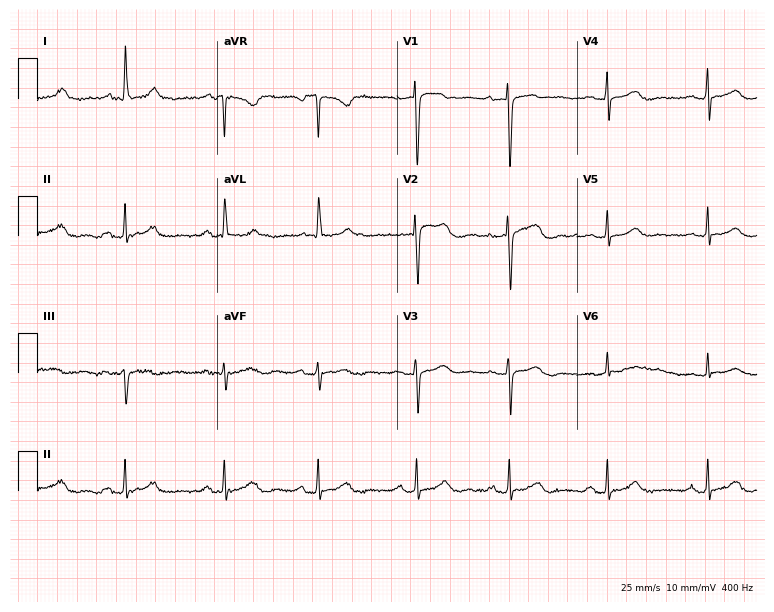
ECG — a female, 79 years old. Labelled as a normal ECG.